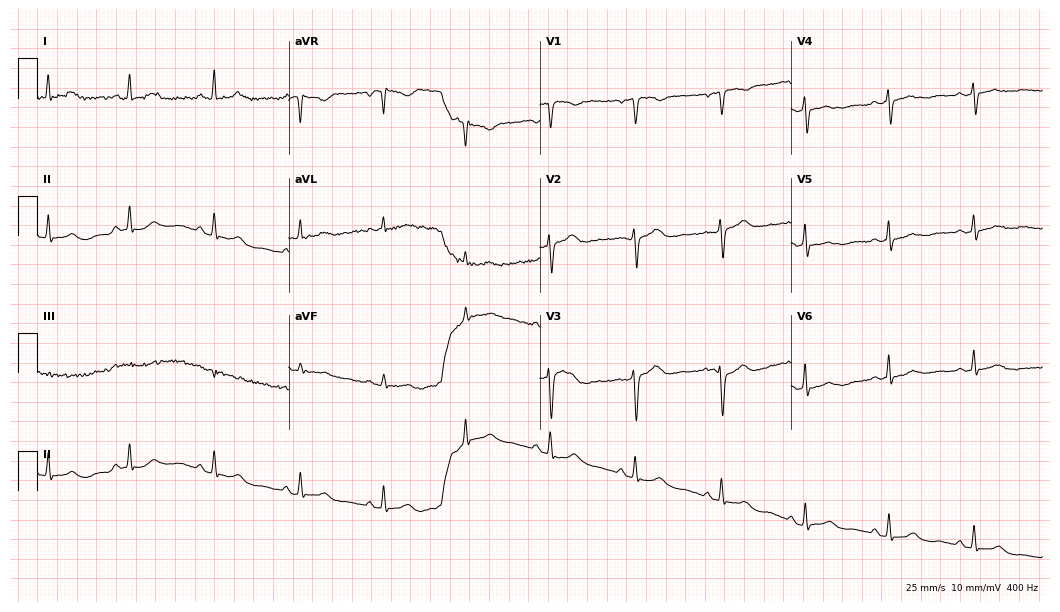
Standard 12-lead ECG recorded from a woman, 48 years old (10.2-second recording at 400 Hz). Read as a normal ECG.